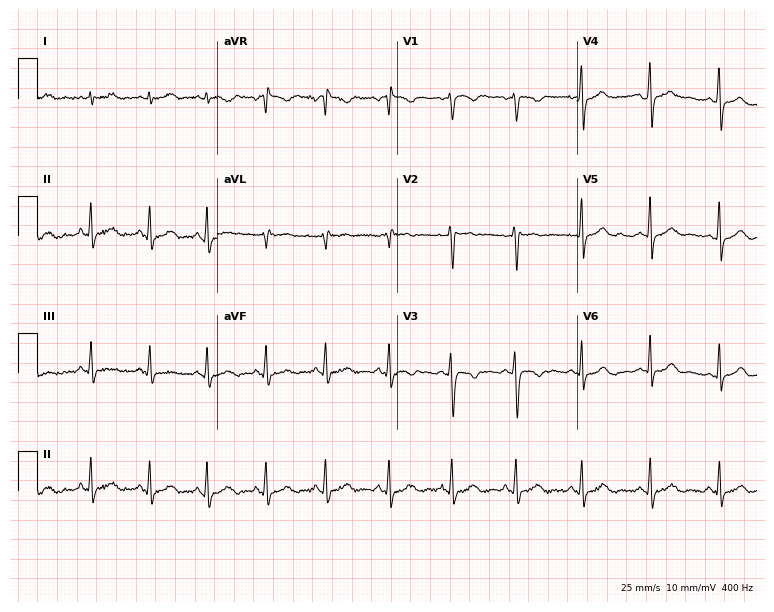
Electrocardiogram, a 21-year-old woman. Overall reading on record: normal ECG.